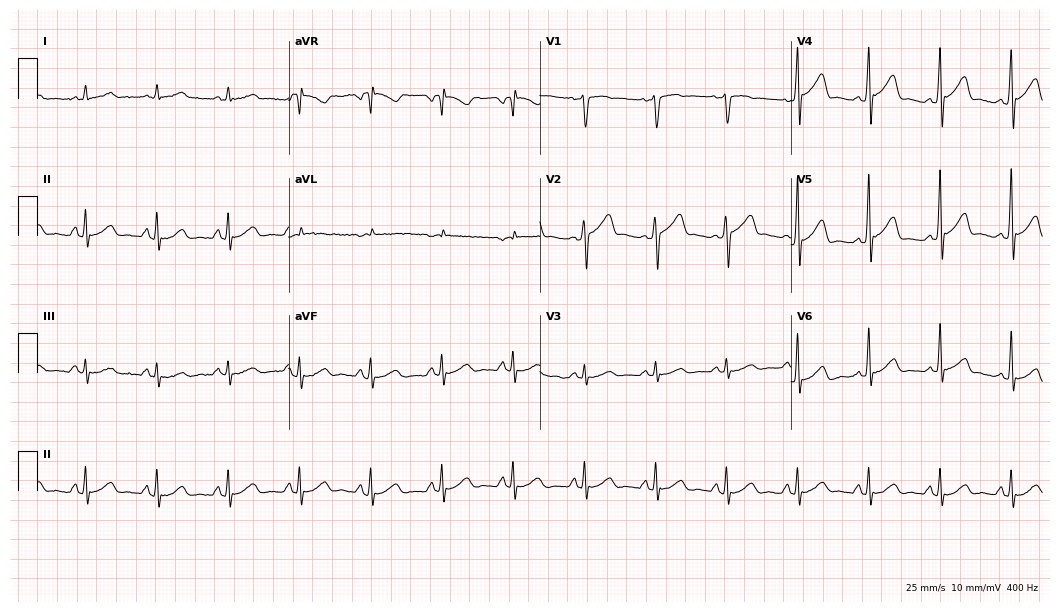
12-lead ECG from a 51-year-old man. Labelled as a normal ECG.